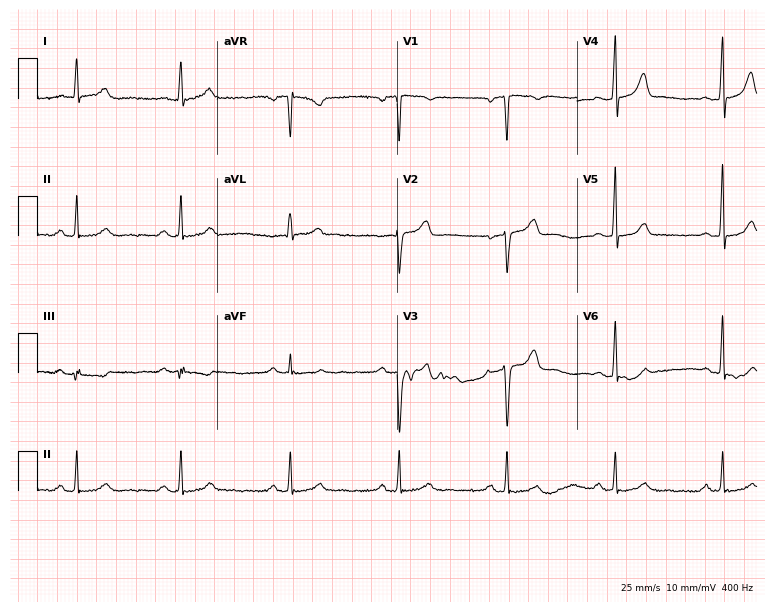
12-lead ECG (7.3-second recording at 400 Hz) from a male, 74 years old. Screened for six findings — first-degree AV block, right bundle branch block, left bundle branch block, sinus bradycardia, atrial fibrillation, sinus tachycardia — none is recorded. Only these six findings were labelled.